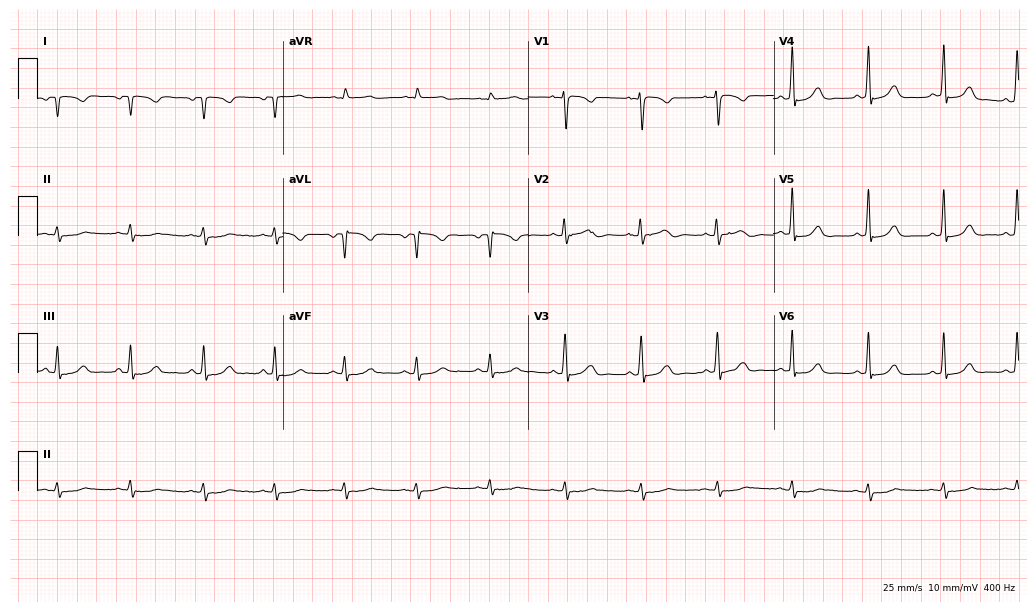
12-lead ECG from a female, 41 years old (10-second recording at 400 Hz). No first-degree AV block, right bundle branch block, left bundle branch block, sinus bradycardia, atrial fibrillation or sinus tachycardia recorded for this tracing. Findings outside these six are not listed.